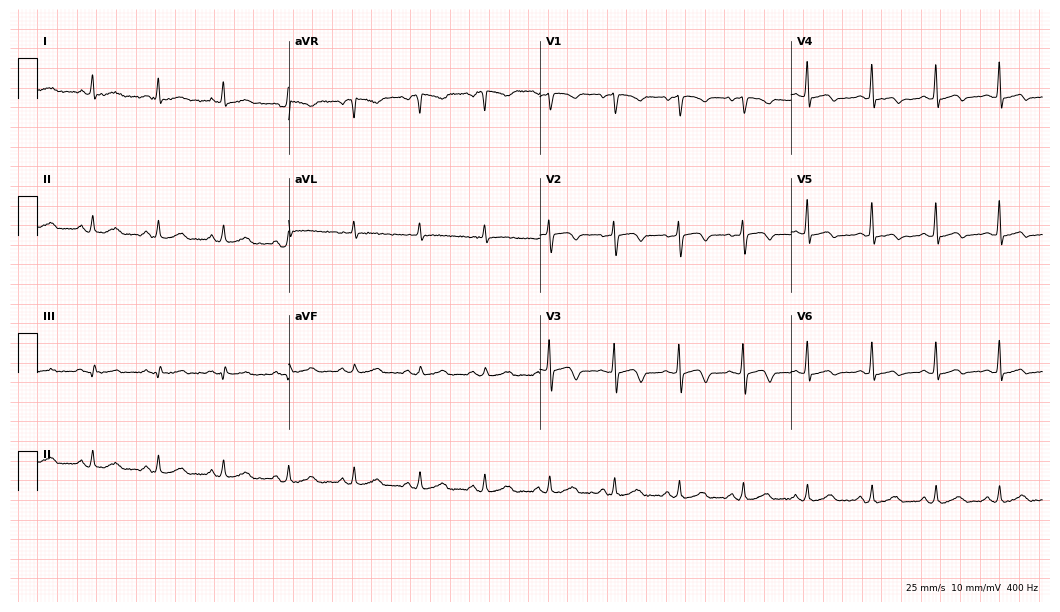
Electrocardiogram (10.2-second recording at 400 Hz), a woman, 53 years old. Of the six screened findings (first-degree AV block, right bundle branch block, left bundle branch block, sinus bradycardia, atrial fibrillation, sinus tachycardia), none is recorded.